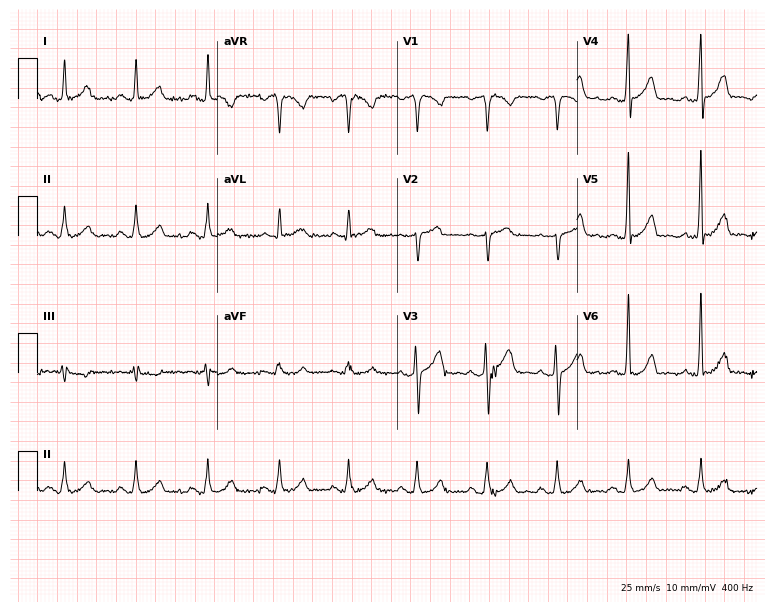
Standard 12-lead ECG recorded from a male patient, 35 years old (7.3-second recording at 400 Hz). Read as a normal ECG.